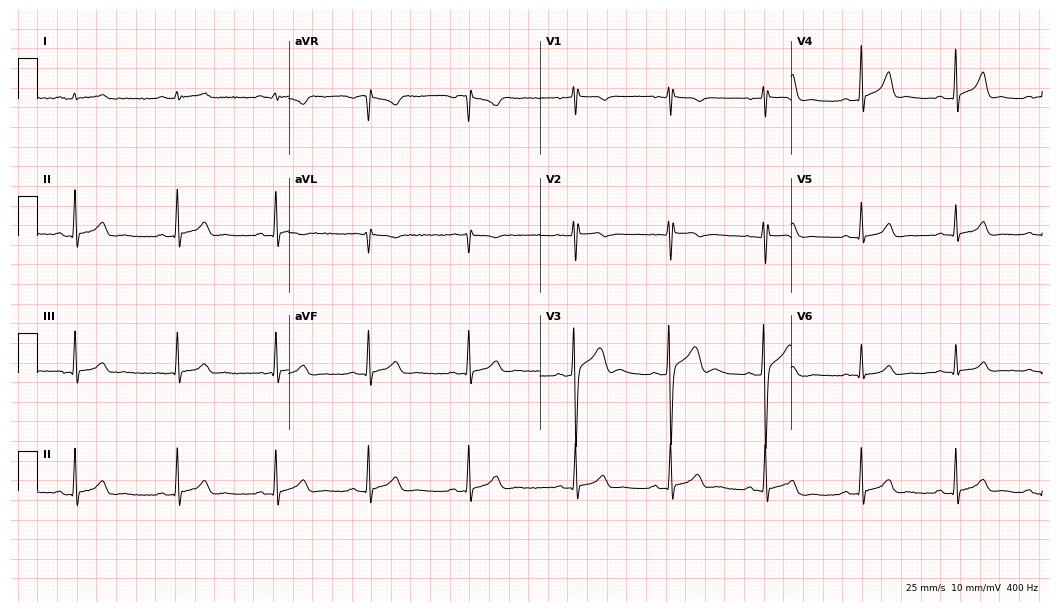
Resting 12-lead electrocardiogram. Patient: a 27-year-old male. None of these six findings is recorded: first-degree AV block, right bundle branch block (RBBB), left bundle branch block (LBBB), sinus bradycardia, atrial fibrillation (AF), sinus tachycardia.